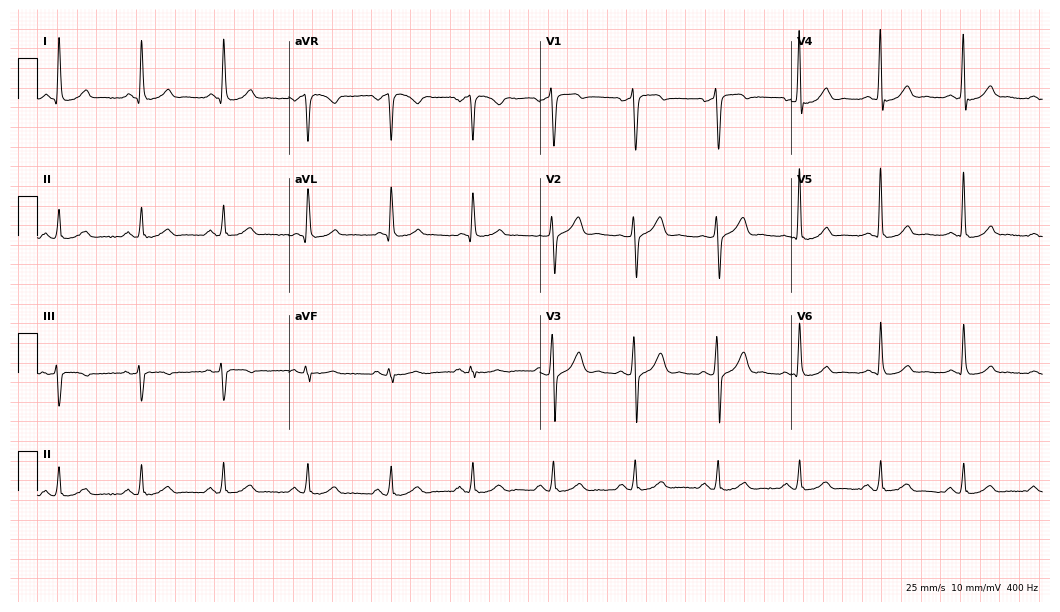
12-lead ECG from a male, 77 years old (10.2-second recording at 400 Hz). Recorded interpretation: within normal limits.